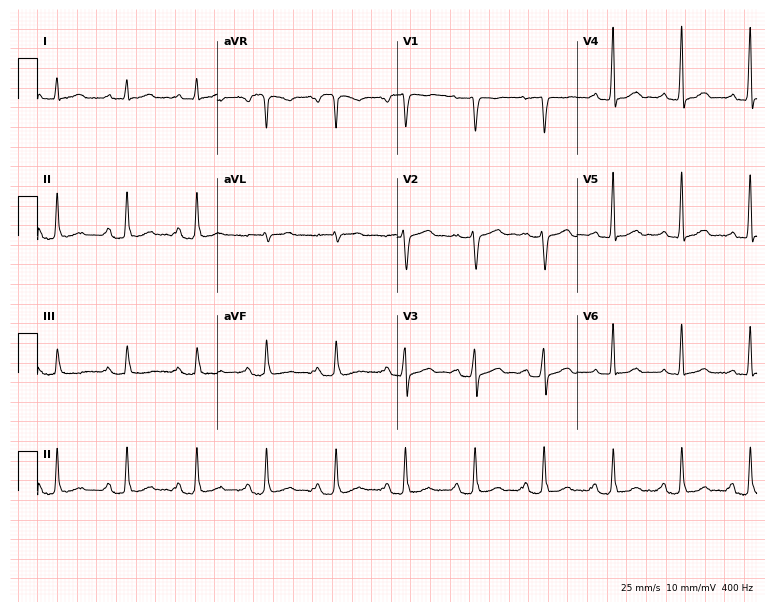
Electrocardiogram (7.3-second recording at 400 Hz), a male, 68 years old. Overall reading on record: normal ECG.